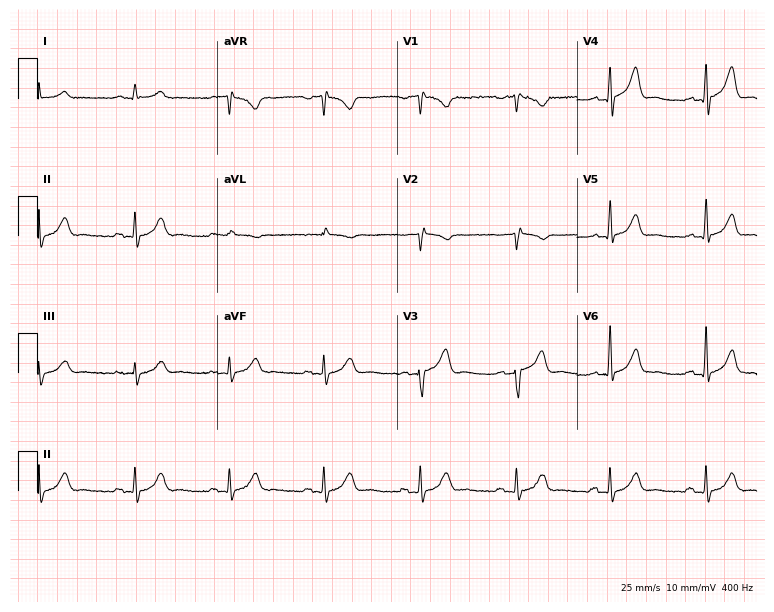
Resting 12-lead electrocardiogram. Patient: a 43-year-old man. None of these six findings is recorded: first-degree AV block, right bundle branch block, left bundle branch block, sinus bradycardia, atrial fibrillation, sinus tachycardia.